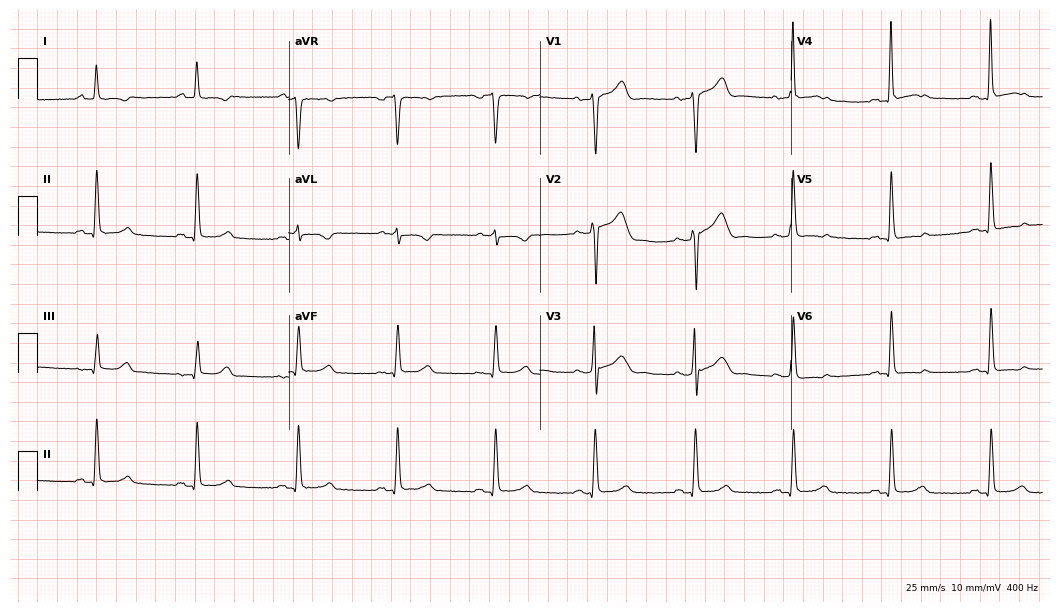
ECG — a 67-year-old female patient. Screened for six findings — first-degree AV block, right bundle branch block, left bundle branch block, sinus bradycardia, atrial fibrillation, sinus tachycardia — none is recorded. Only these six findings were labelled.